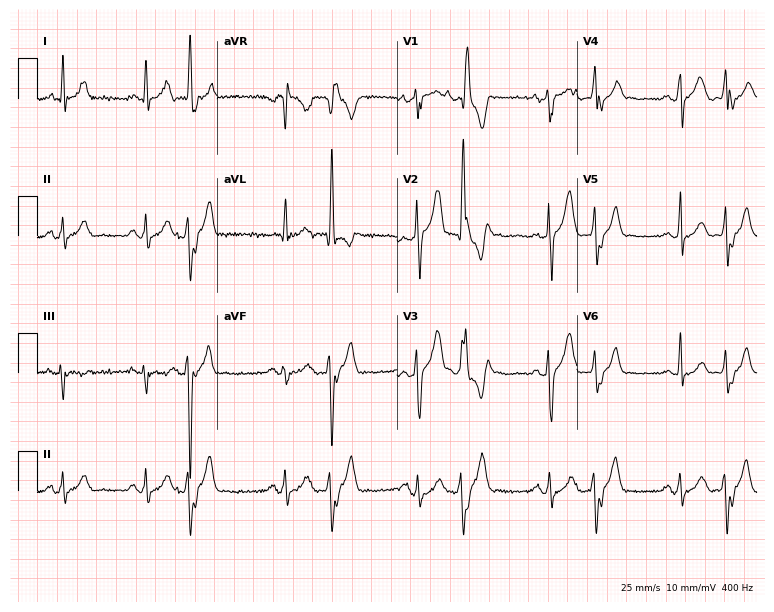
Electrocardiogram (7.3-second recording at 400 Hz), a 27-year-old male patient. Of the six screened findings (first-degree AV block, right bundle branch block, left bundle branch block, sinus bradycardia, atrial fibrillation, sinus tachycardia), none is recorded.